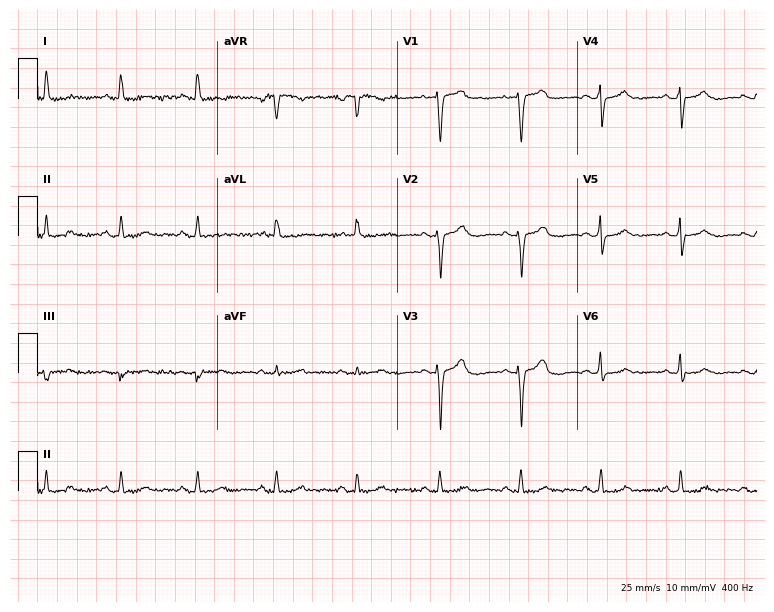
Electrocardiogram (7.3-second recording at 400 Hz), a 56-year-old female patient. Overall reading on record: normal ECG.